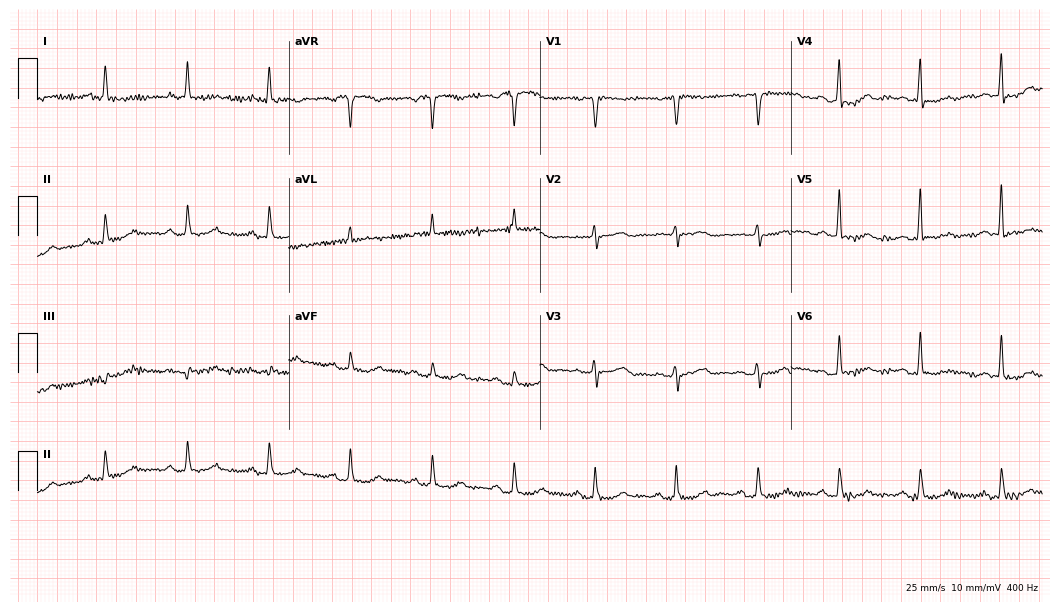
Electrocardiogram, a woman, 78 years old. Overall reading on record: normal ECG.